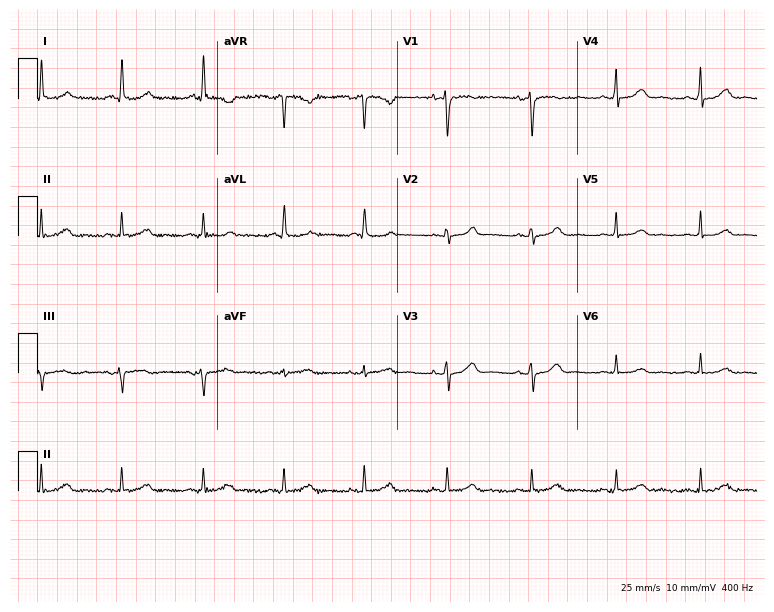
Resting 12-lead electrocardiogram. Patient: a female, 62 years old. Read as a normal ECG.